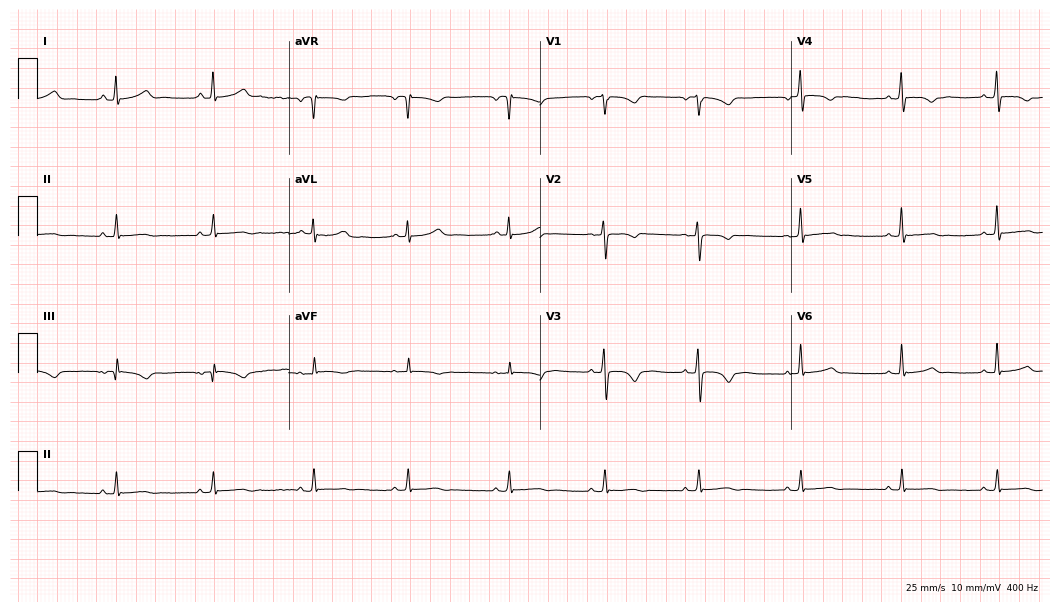
ECG — a 23-year-old female patient. Screened for six findings — first-degree AV block, right bundle branch block (RBBB), left bundle branch block (LBBB), sinus bradycardia, atrial fibrillation (AF), sinus tachycardia — none is recorded.